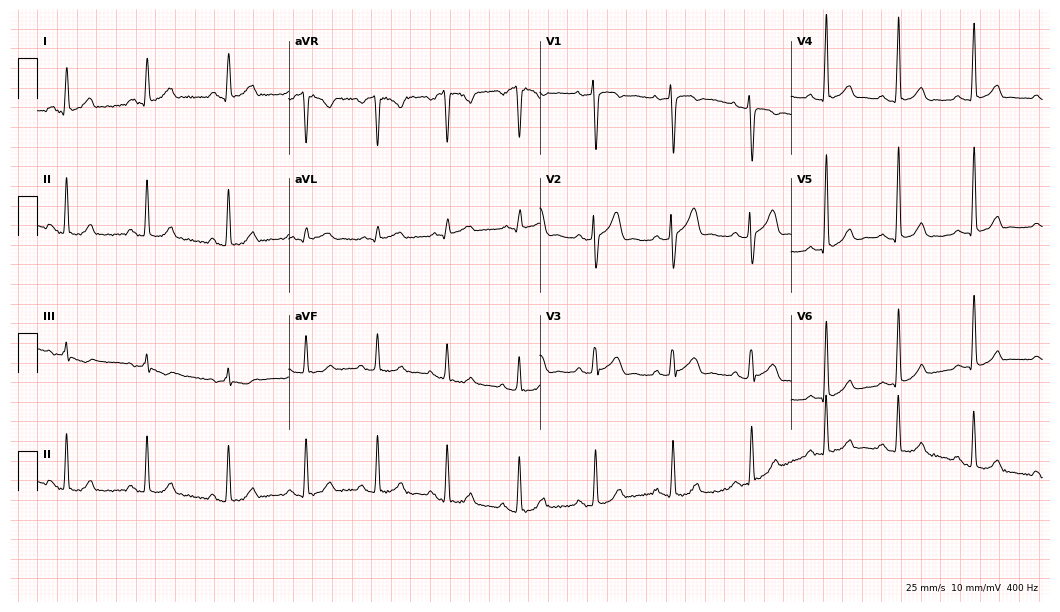
ECG (10.2-second recording at 400 Hz) — a 26-year-old man. Labelled as a normal ECG.